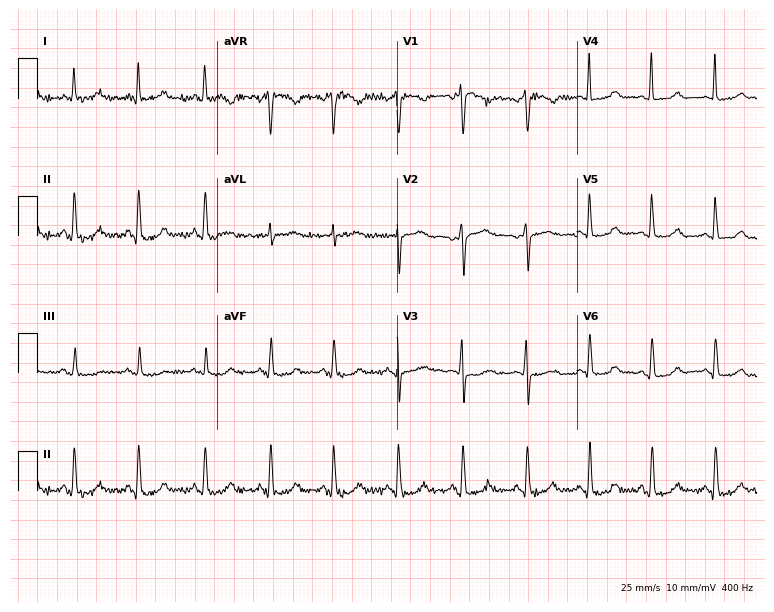
ECG (7.3-second recording at 400 Hz) — a 36-year-old female patient. Labelled as a normal ECG.